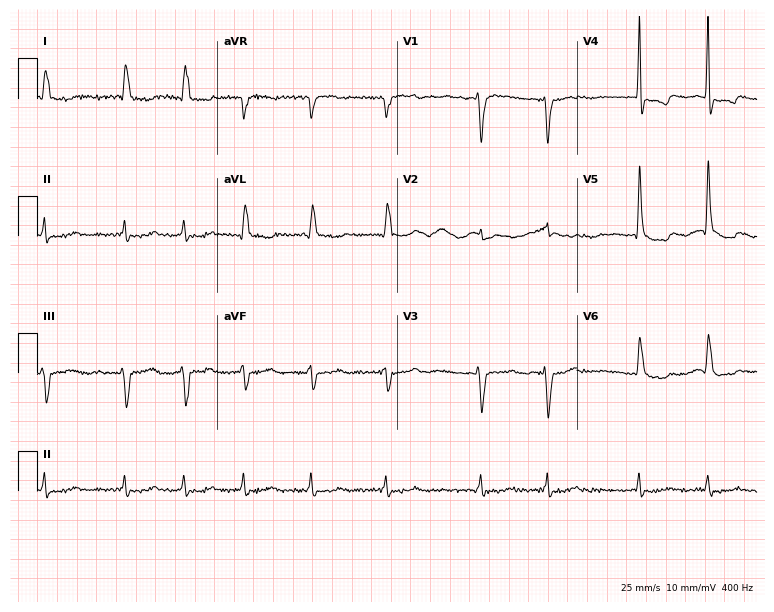
ECG (7.3-second recording at 400 Hz) — a female, 62 years old. Findings include left bundle branch block, atrial fibrillation.